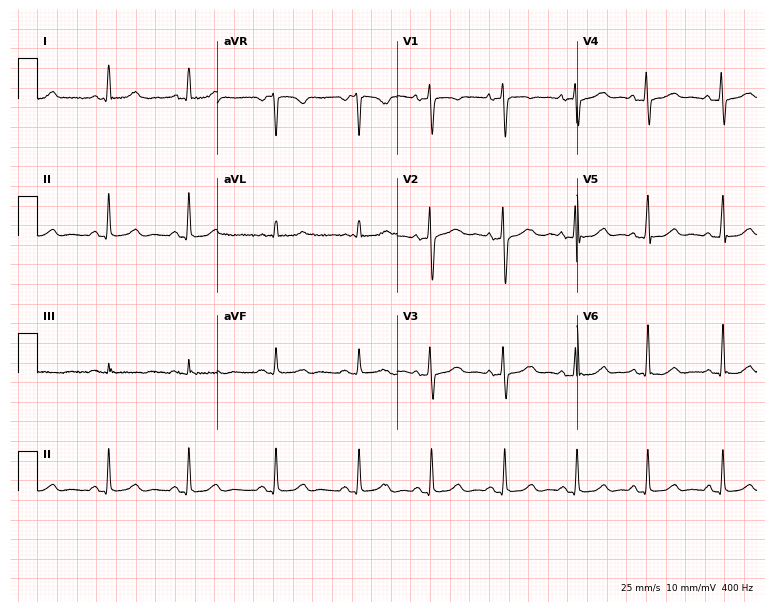
Resting 12-lead electrocardiogram (7.3-second recording at 400 Hz). Patient: a female, 32 years old. None of these six findings is recorded: first-degree AV block, right bundle branch block, left bundle branch block, sinus bradycardia, atrial fibrillation, sinus tachycardia.